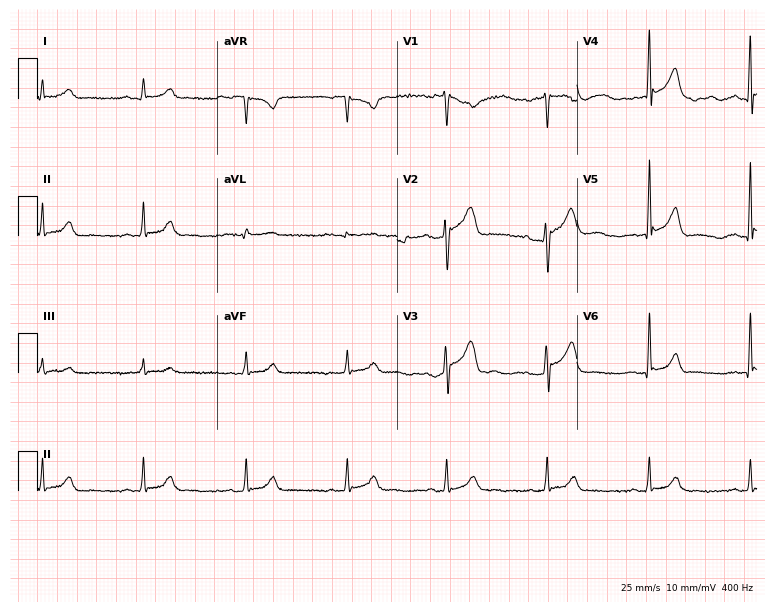
Electrocardiogram, a 56-year-old male. Of the six screened findings (first-degree AV block, right bundle branch block, left bundle branch block, sinus bradycardia, atrial fibrillation, sinus tachycardia), none is recorded. Only these six findings were labelled.